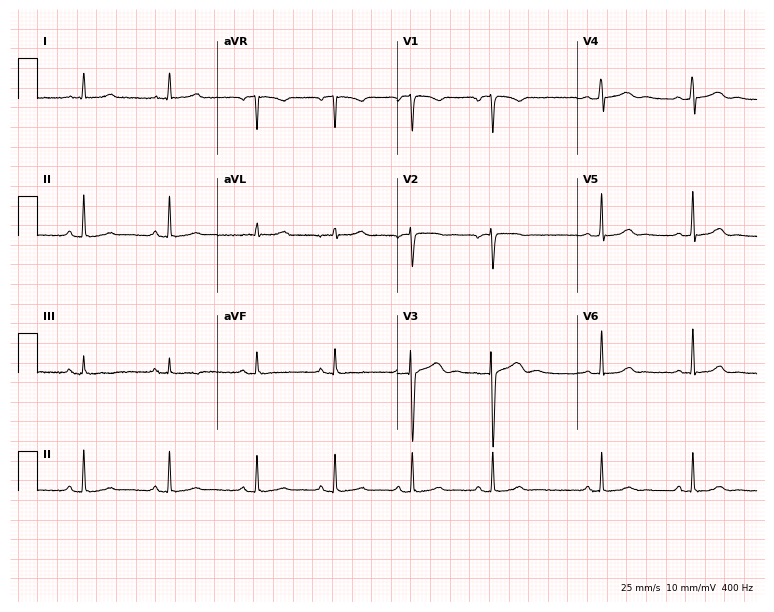
Standard 12-lead ECG recorded from a 33-year-old woman. None of these six findings is recorded: first-degree AV block, right bundle branch block (RBBB), left bundle branch block (LBBB), sinus bradycardia, atrial fibrillation (AF), sinus tachycardia. Other findings, if any, are not listed.